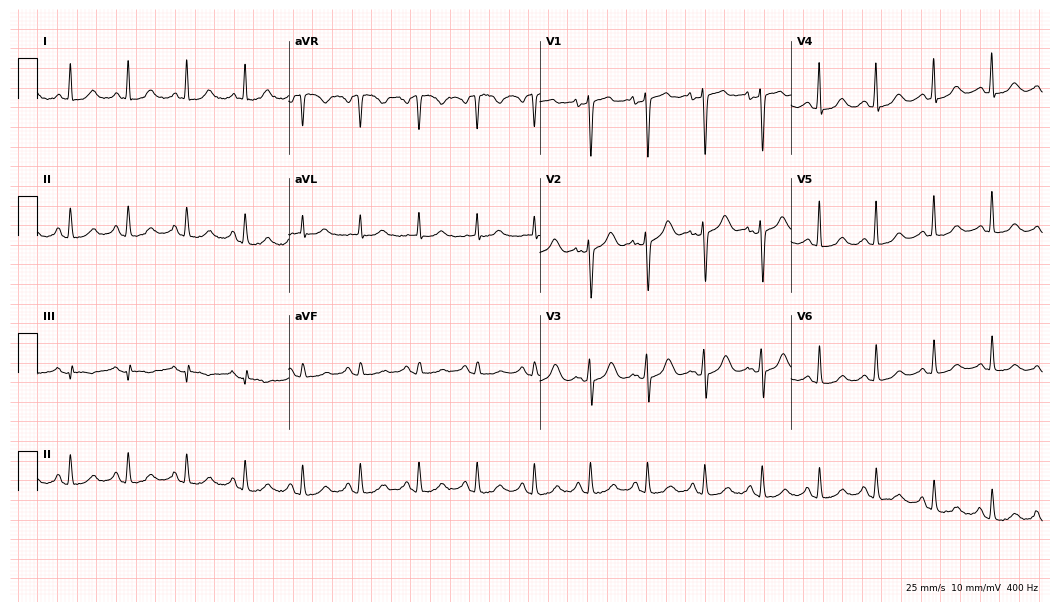
ECG — a female patient, 66 years old. Findings include sinus tachycardia (a sinus rate of 100 beats per minute or more).